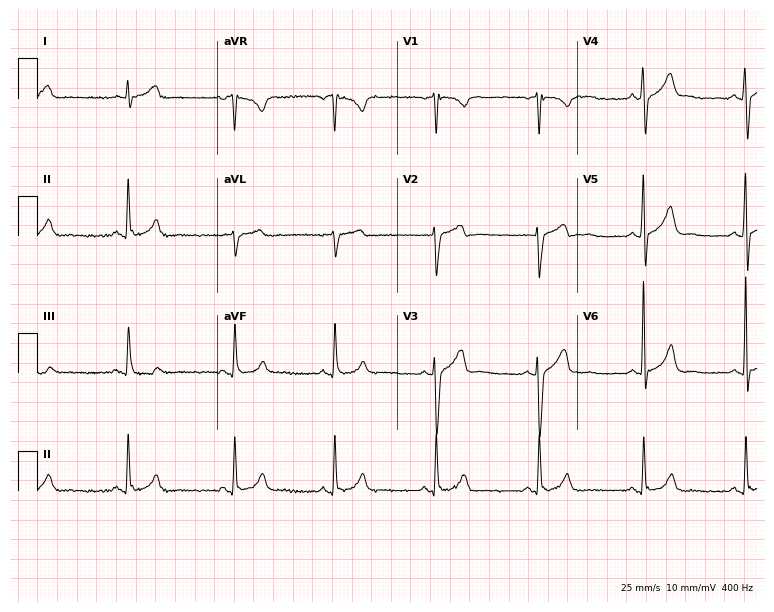
ECG (7.3-second recording at 400 Hz) — a male patient, 42 years old. Labelled as a normal ECG.